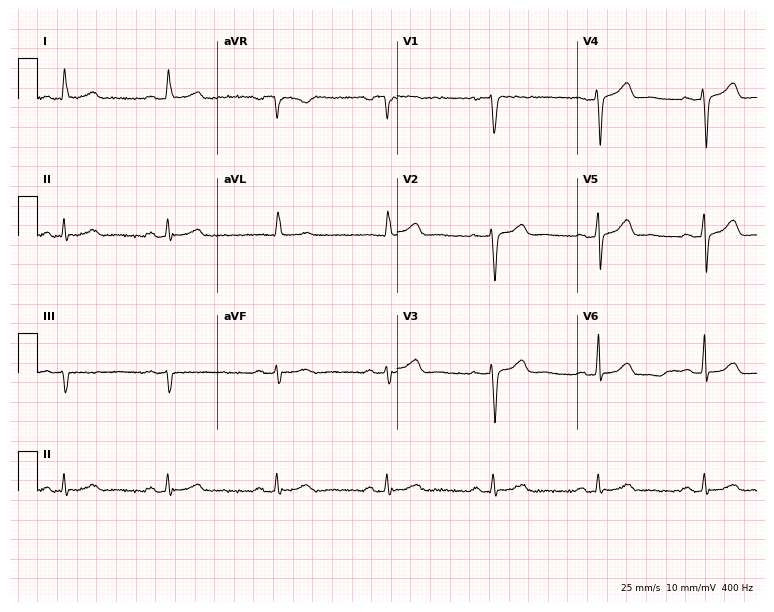
ECG — a 50-year-old female. Screened for six findings — first-degree AV block, right bundle branch block, left bundle branch block, sinus bradycardia, atrial fibrillation, sinus tachycardia — none is recorded. Other findings, if any, are not listed.